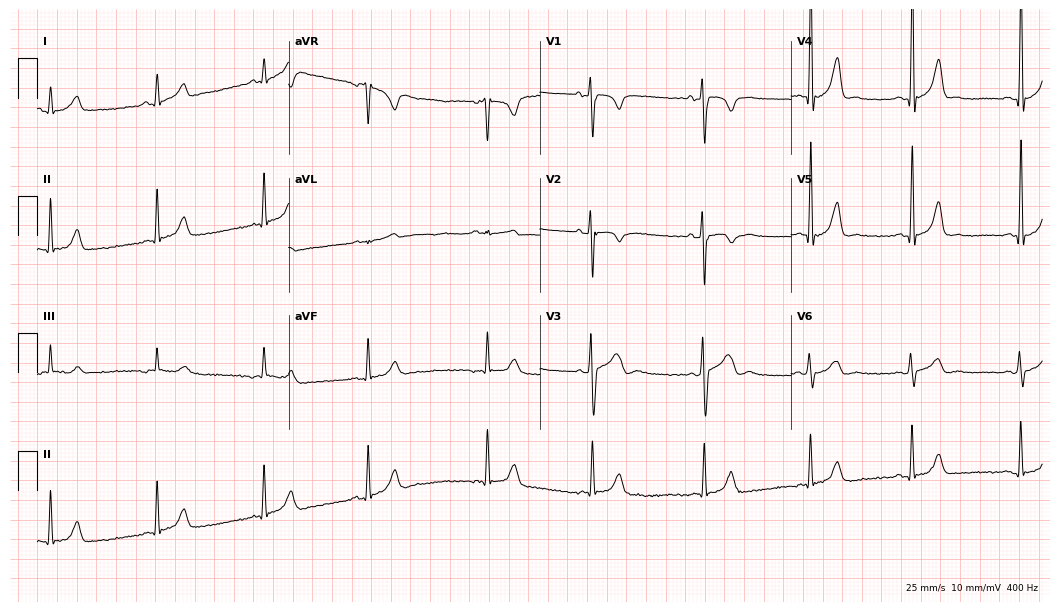
Standard 12-lead ECG recorded from a 17-year-old man. None of these six findings is recorded: first-degree AV block, right bundle branch block, left bundle branch block, sinus bradycardia, atrial fibrillation, sinus tachycardia.